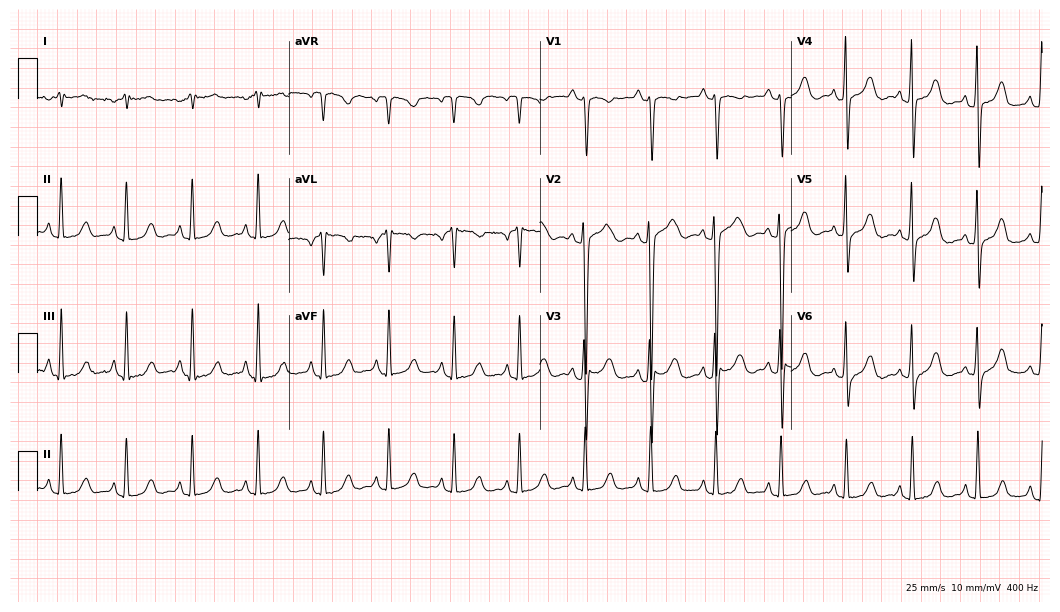
Standard 12-lead ECG recorded from a 77-year-old female. None of these six findings is recorded: first-degree AV block, right bundle branch block, left bundle branch block, sinus bradycardia, atrial fibrillation, sinus tachycardia. Findings outside these six are not listed.